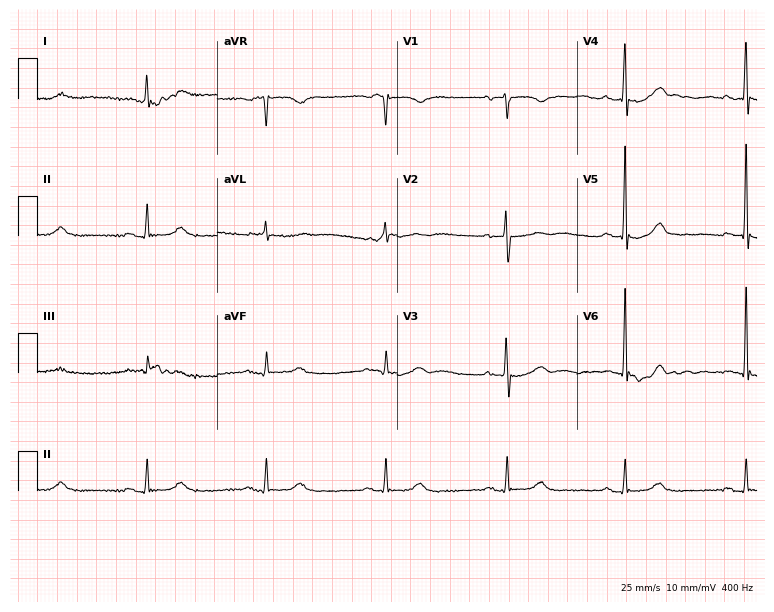
12-lead ECG from an 85-year-old male patient. Labelled as a normal ECG.